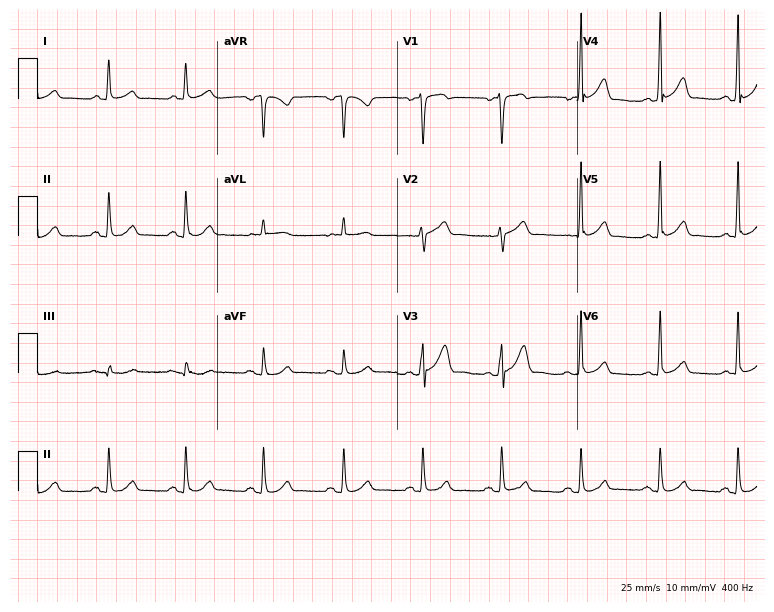
Standard 12-lead ECG recorded from a male patient, 57 years old. Read as a normal ECG.